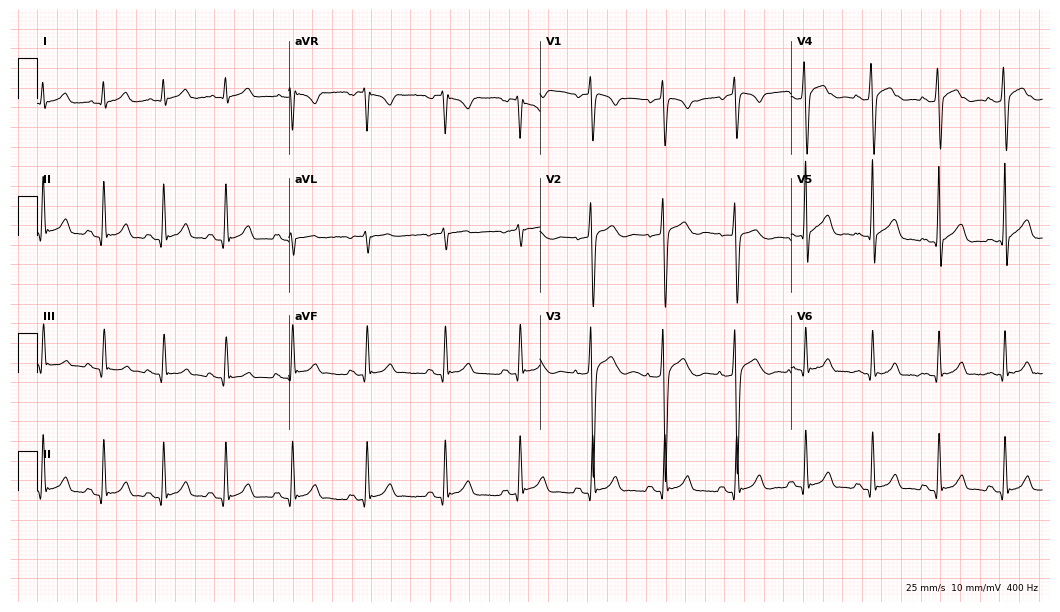
ECG (10.2-second recording at 400 Hz) — a man, 23 years old. Labelled as a normal ECG.